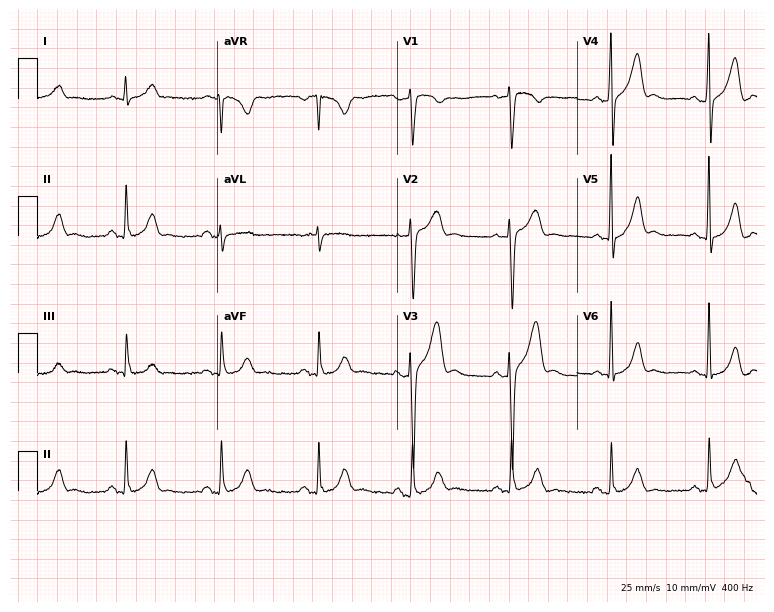
12-lead ECG (7.3-second recording at 400 Hz) from a man, 38 years old. Labelled as a normal ECG.